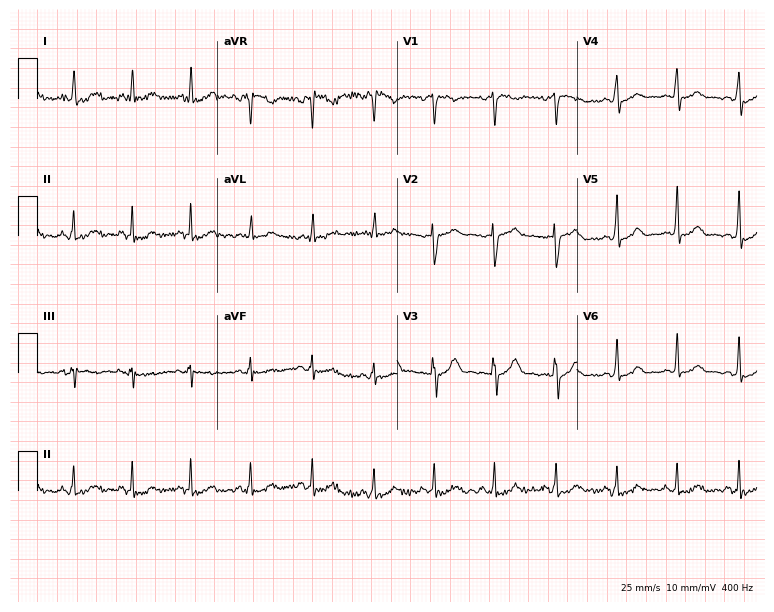
Resting 12-lead electrocardiogram (7.3-second recording at 400 Hz). Patient: a 33-year-old female. None of these six findings is recorded: first-degree AV block, right bundle branch block (RBBB), left bundle branch block (LBBB), sinus bradycardia, atrial fibrillation (AF), sinus tachycardia.